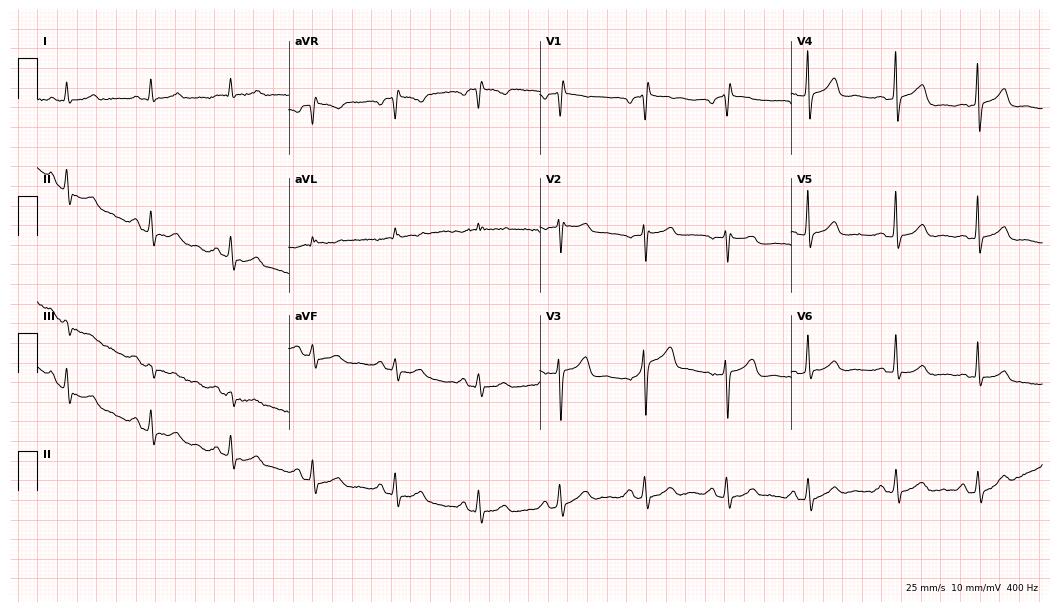
Standard 12-lead ECG recorded from a man, 54 years old. Read as a normal ECG.